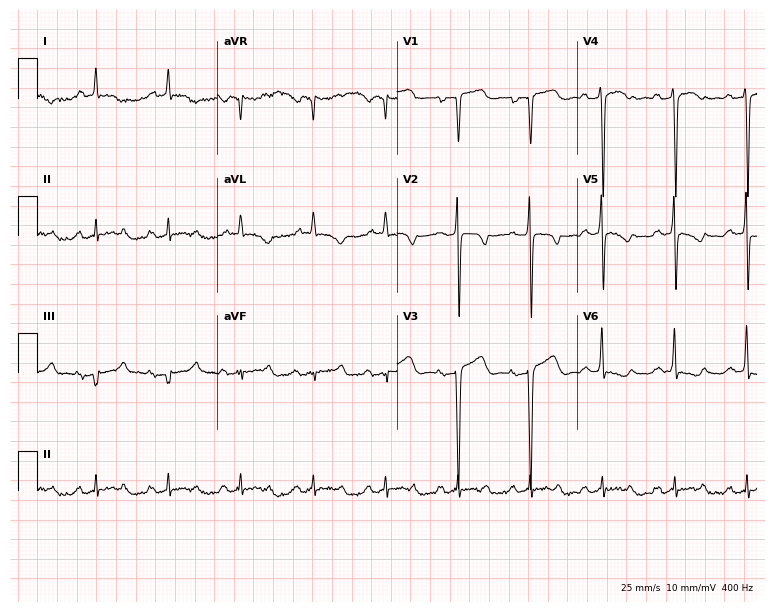
Resting 12-lead electrocardiogram. Patient: a male, 66 years old. None of these six findings is recorded: first-degree AV block, right bundle branch block, left bundle branch block, sinus bradycardia, atrial fibrillation, sinus tachycardia. Other findings, if any, are not listed.